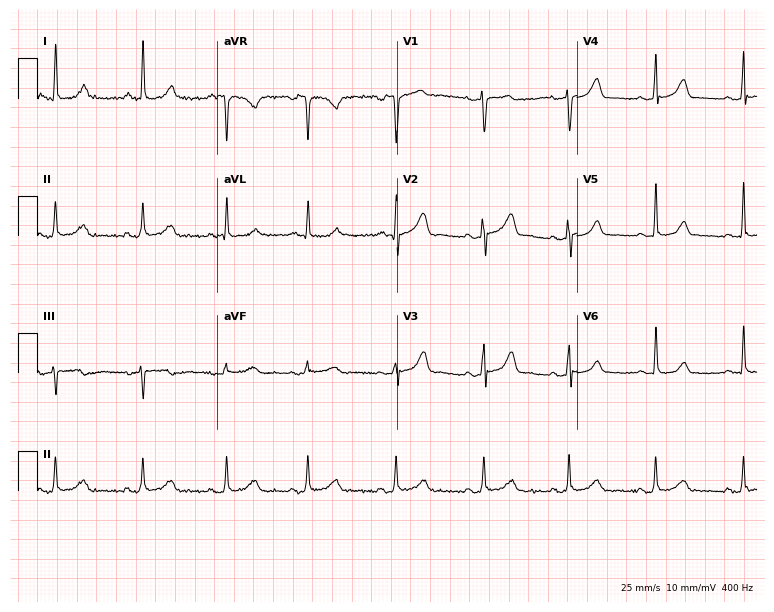
Resting 12-lead electrocardiogram. Patient: a 27-year-old woman. Read as a normal ECG.